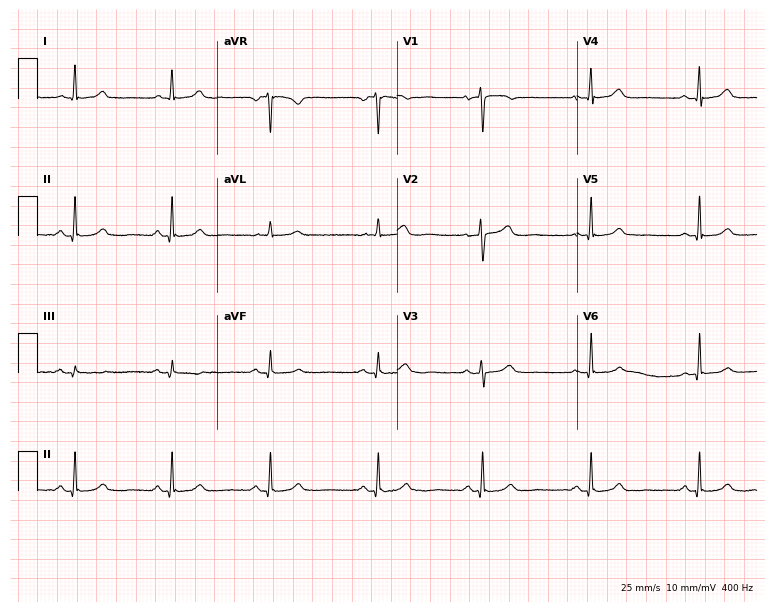
Electrocardiogram, a 56-year-old female. Overall reading on record: normal ECG.